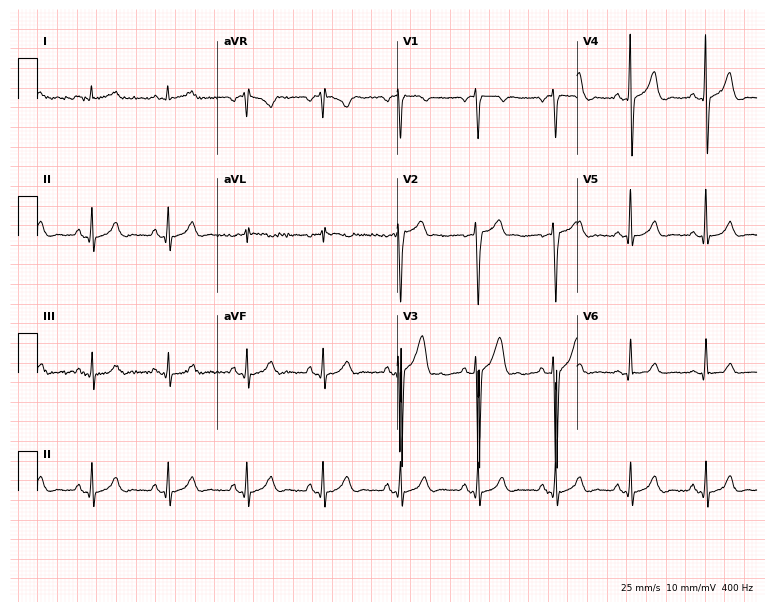
ECG — a male patient, 39 years old. Labelled as a normal ECG.